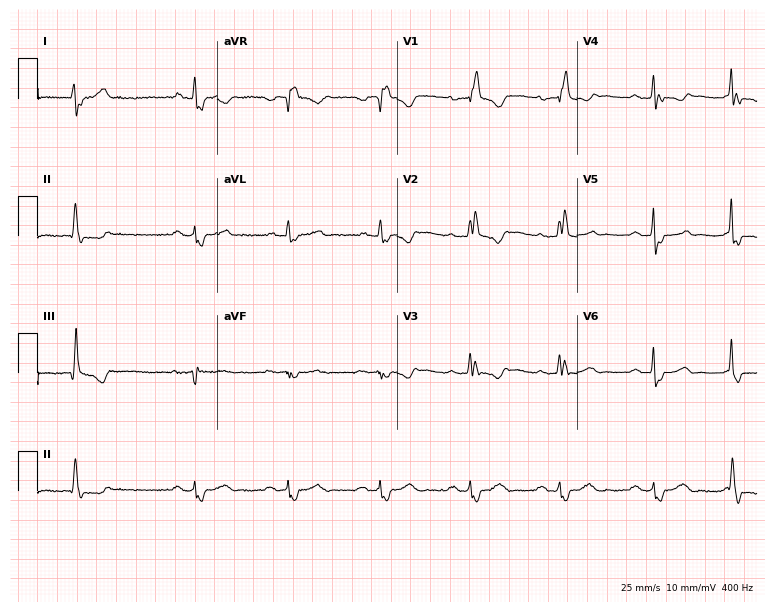
12-lead ECG from a 56-year-old woman (7.3-second recording at 400 Hz). Shows right bundle branch block (RBBB).